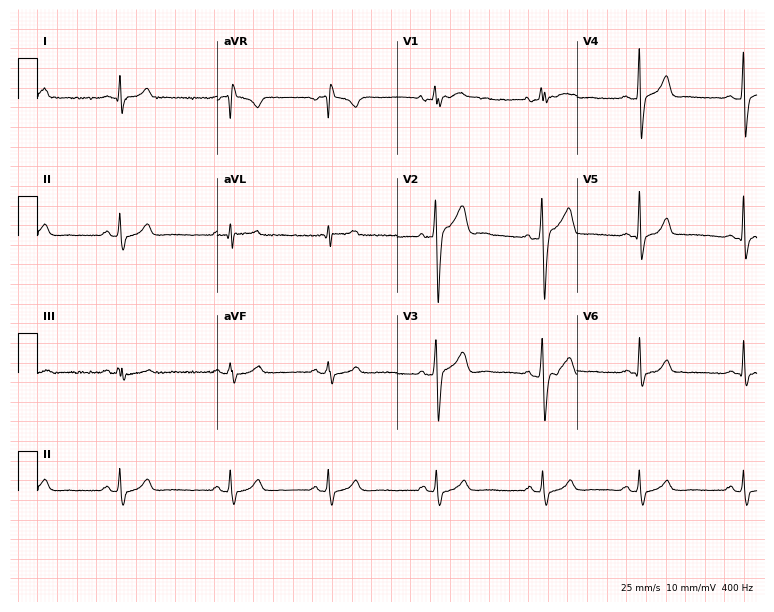
ECG (7.3-second recording at 400 Hz) — a man, 37 years old. Labelled as a normal ECG.